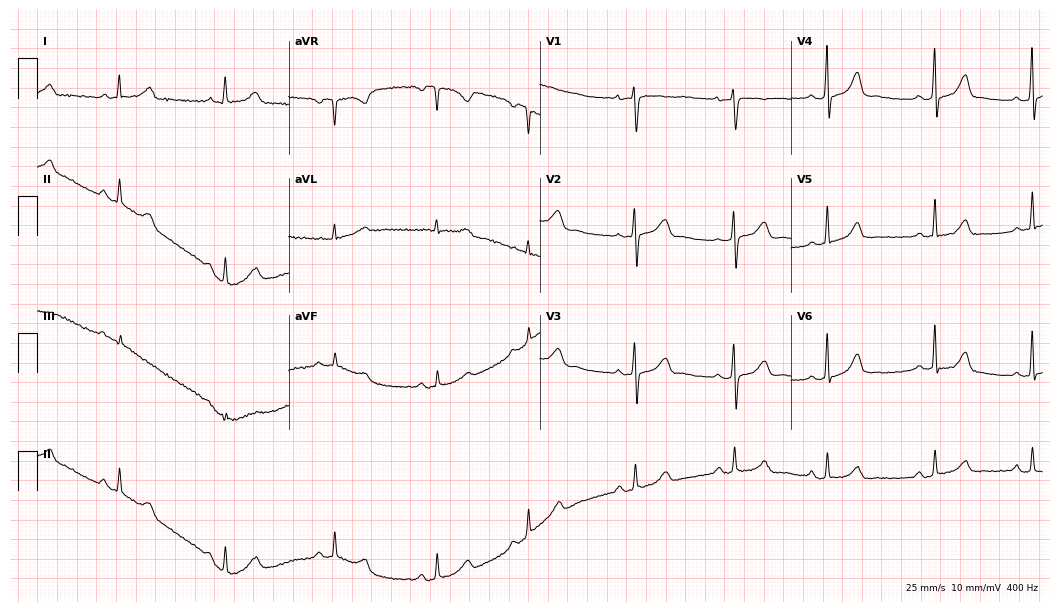
ECG — a 33-year-old woman. Labelled as a normal ECG.